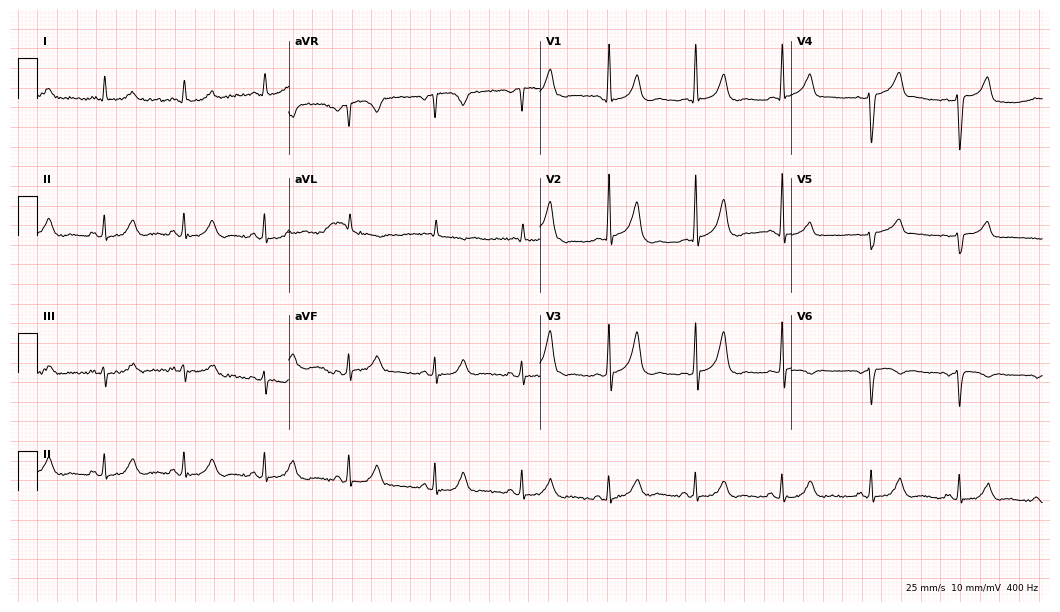
ECG — a woman, 78 years old. Screened for six findings — first-degree AV block, right bundle branch block (RBBB), left bundle branch block (LBBB), sinus bradycardia, atrial fibrillation (AF), sinus tachycardia — none is recorded. Other findings, if any, are not listed.